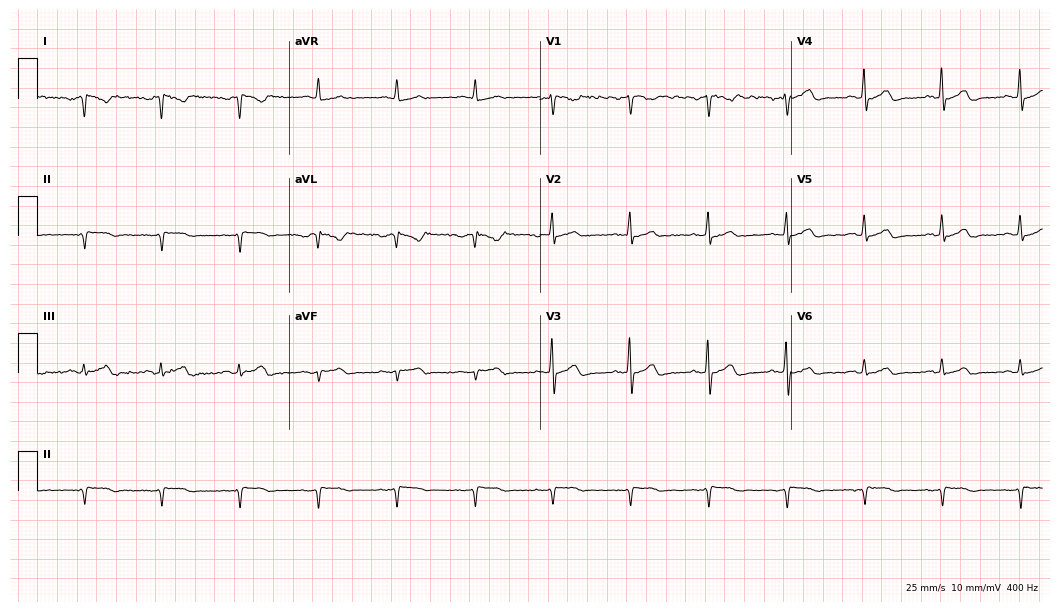
Standard 12-lead ECG recorded from a man, 71 years old (10.2-second recording at 400 Hz). None of these six findings is recorded: first-degree AV block, right bundle branch block (RBBB), left bundle branch block (LBBB), sinus bradycardia, atrial fibrillation (AF), sinus tachycardia. Other findings, if any, are not listed.